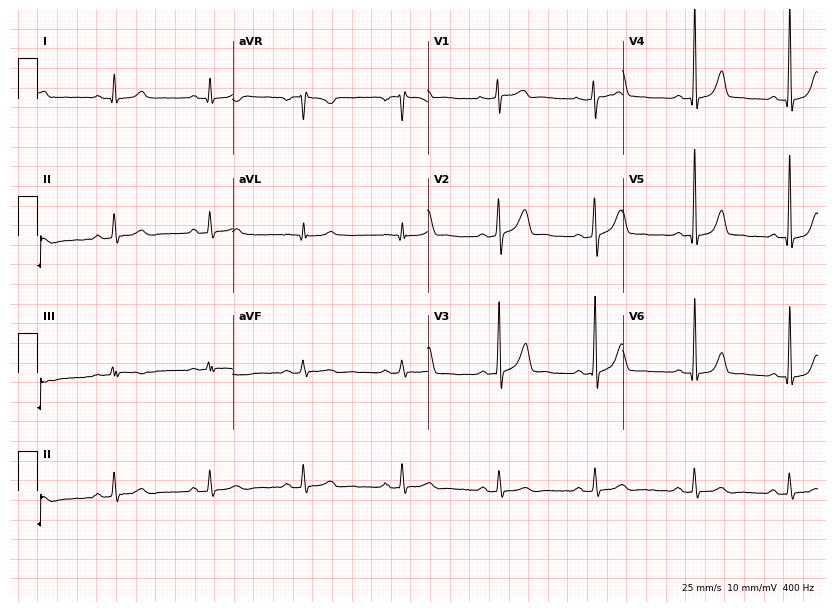
Standard 12-lead ECG recorded from a female patient, 38 years old (8-second recording at 400 Hz). None of these six findings is recorded: first-degree AV block, right bundle branch block, left bundle branch block, sinus bradycardia, atrial fibrillation, sinus tachycardia.